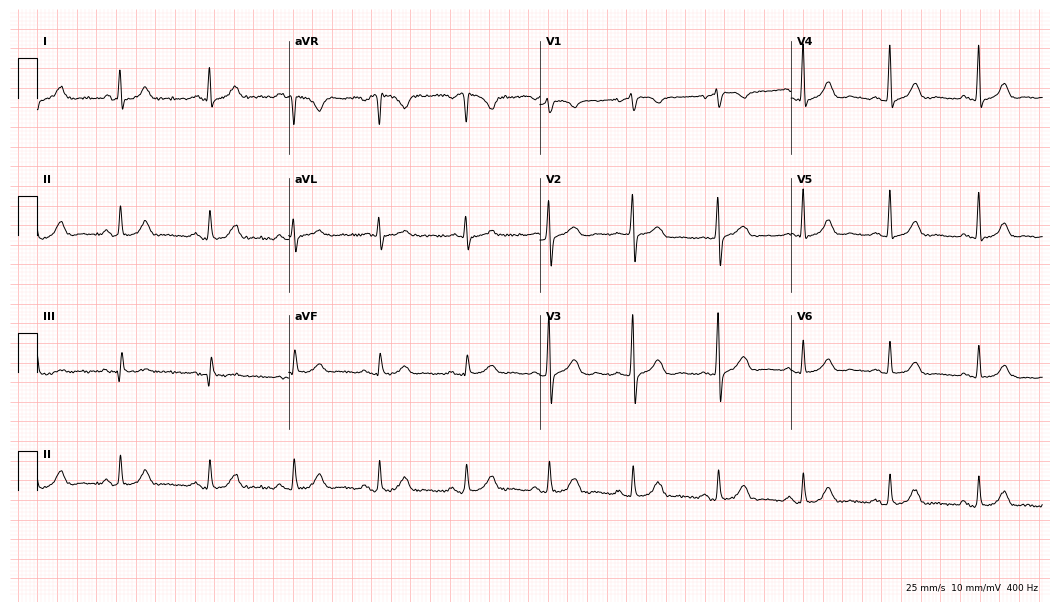
Standard 12-lead ECG recorded from a female, 56 years old. Read as a normal ECG.